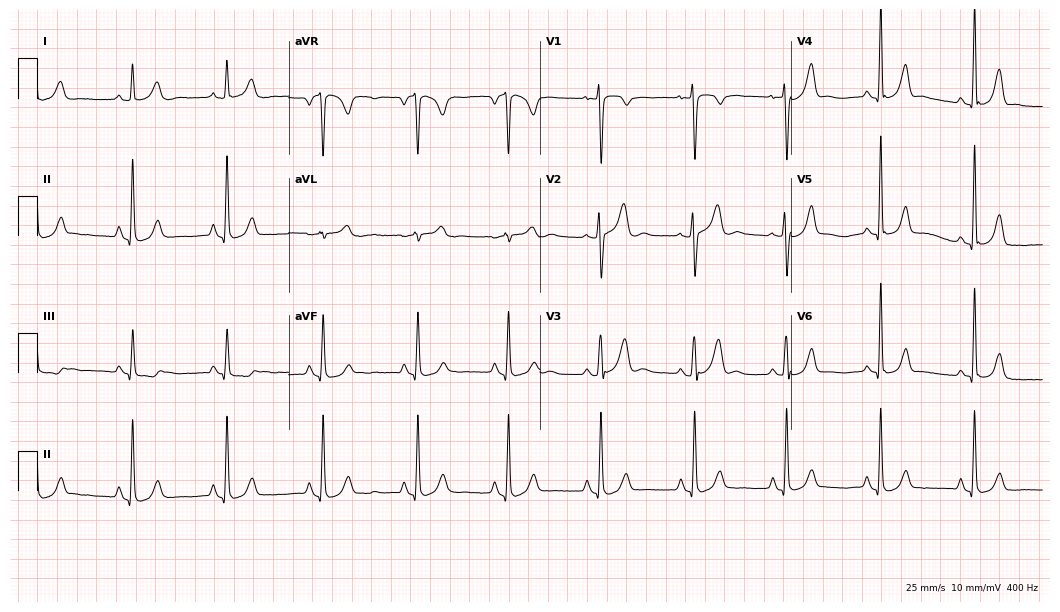
ECG — a man, 44 years old. Labelled as a normal ECG.